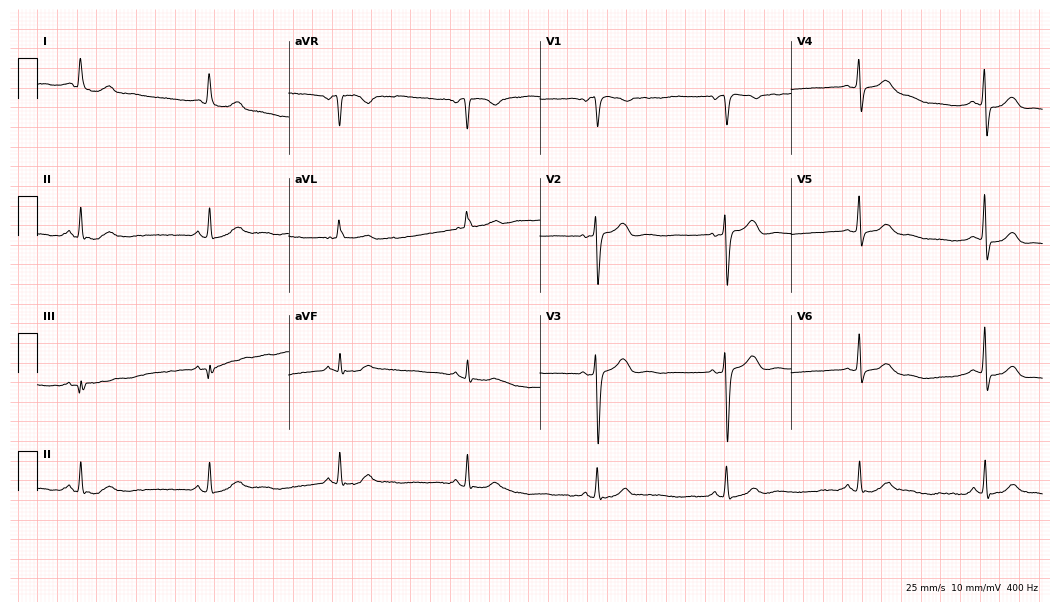
12-lead ECG from a female, 76 years old. Recorded interpretation: within normal limits.